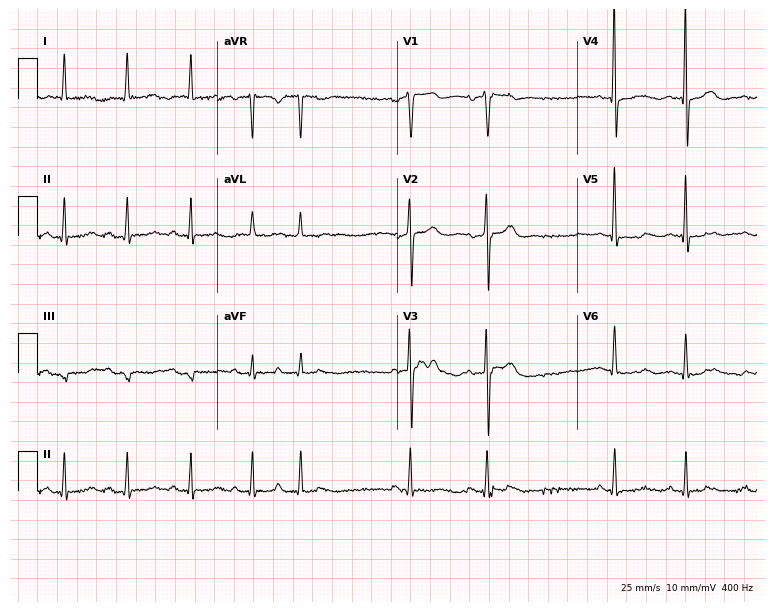
Standard 12-lead ECG recorded from a female, 78 years old. None of these six findings is recorded: first-degree AV block, right bundle branch block (RBBB), left bundle branch block (LBBB), sinus bradycardia, atrial fibrillation (AF), sinus tachycardia.